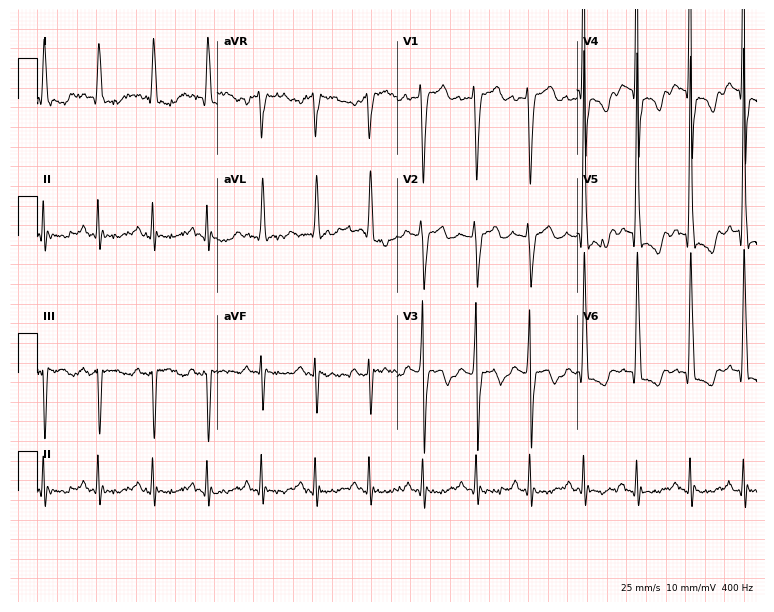
Standard 12-lead ECG recorded from a male patient, 66 years old. The tracing shows sinus tachycardia (a sinus rate of 100 beats per minute or more).